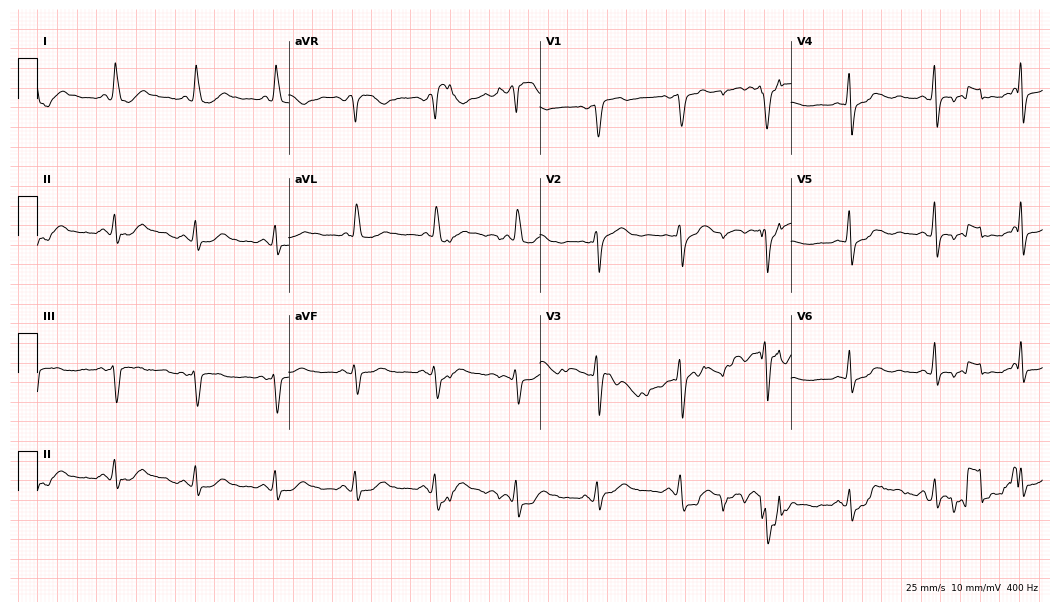
Electrocardiogram (10.2-second recording at 400 Hz), a 66-year-old female patient. Of the six screened findings (first-degree AV block, right bundle branch block (RBBB), left bundle branch block (LBBB), sinus bradycardia, atrial fibrillation (AF), sinus tachycardia), none is recorded.